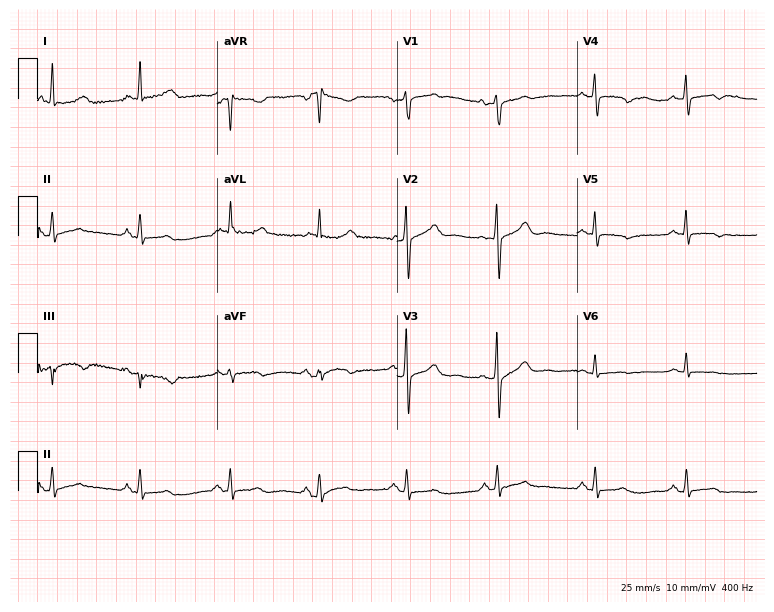
12-lead ECG from a female, 55 years old. Screened for six findings — first-degree AV block, right bundle branch block (RBBB), left bundle branch block (LBBB), sinus bradycardia, atrial fibrillation (AF), sinus tachycardia — none is recorded.